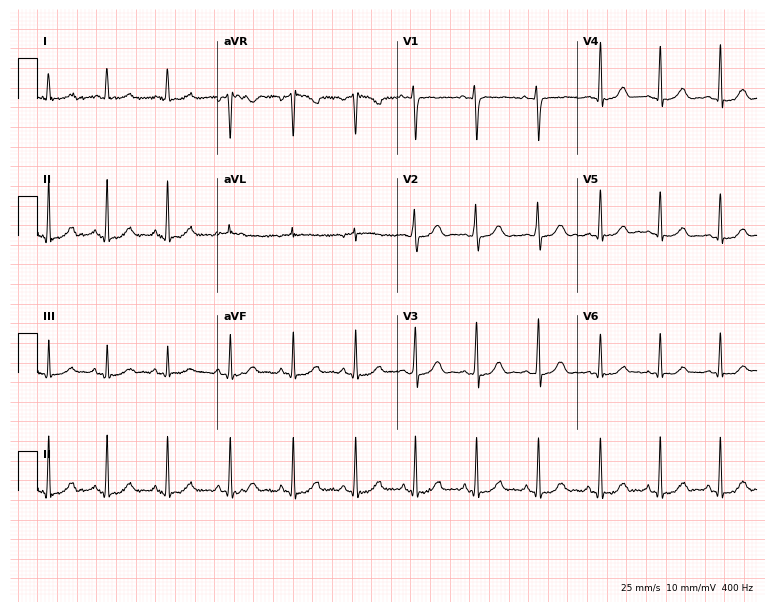
Standard 12-lead ECG recorded from an 18-year-old woman. Read as a normal ECG.